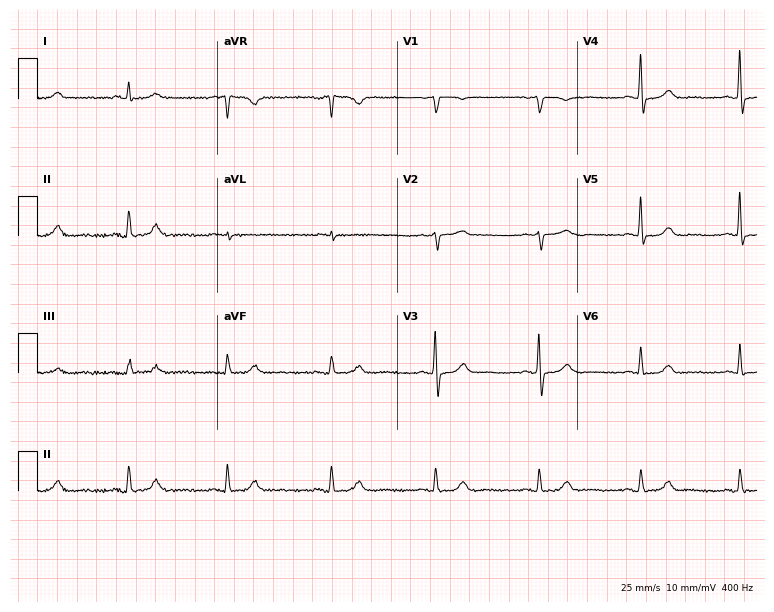
Resting 12-lead electrocardiogram. Patient: a 69-year-old woman. None of these six findings is recorded: first-degree AV block, right bundle branch block (RBBB), left bundle branch block (LBBB), sinus bradycardia, atrial fibrillation (AF), sinus tachycardia.